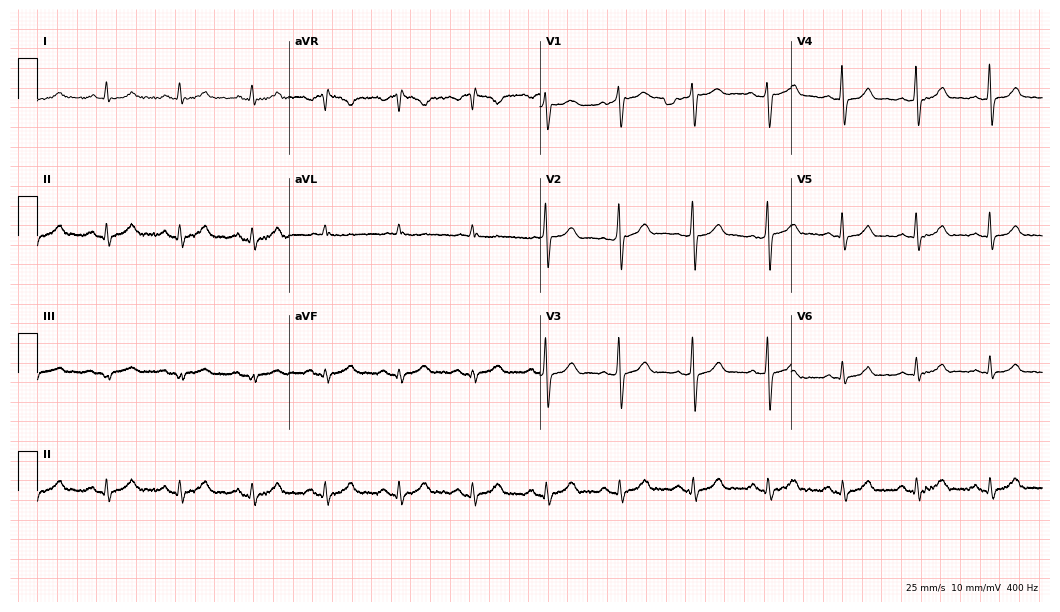
12-lead ECG (10.2-second recording at 400 Hz) from a 63-year-old male. Labelled as a normal ECG.